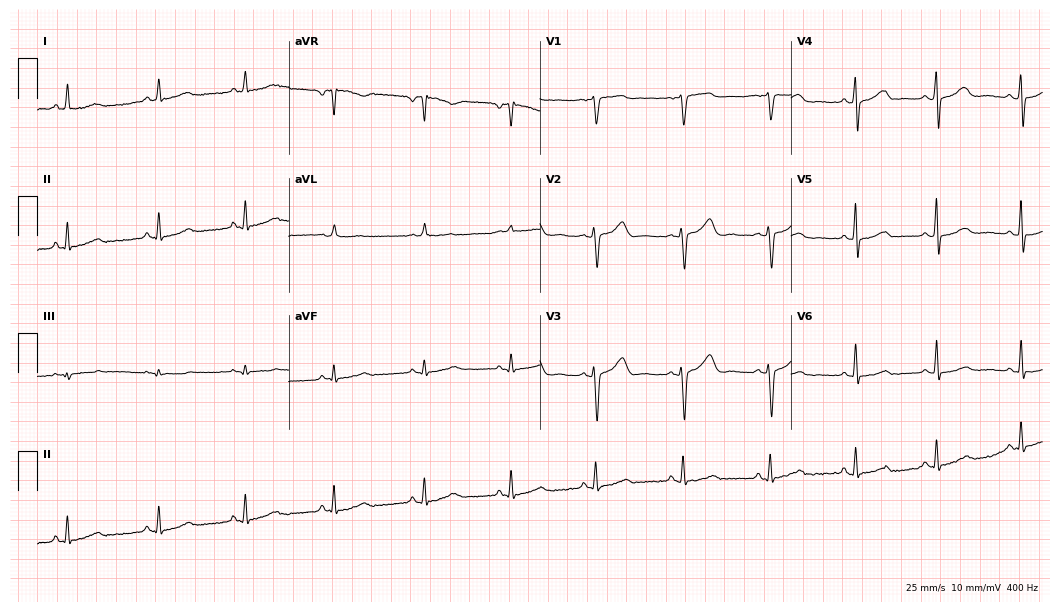
12-lead ECG from a female patient, 49 years old. Screened for six findings — first-degree AV block, right bundle branch block, left bundle branch block, sinus bradycardia, atrial fibrillation, sinus tachycardia — none is recorded.